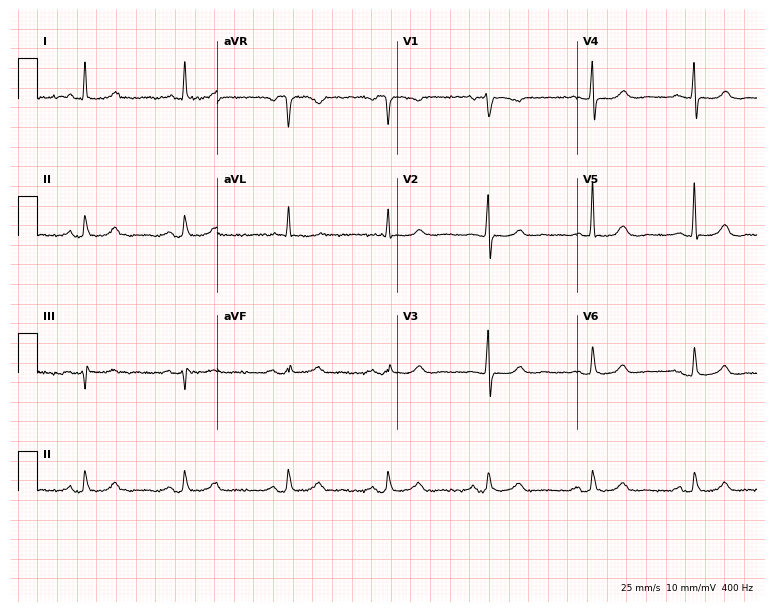
ECG — an 81-year-old woman. Screened for six findings — first-degree AV block, right bundle branch block, left bundle branch block, sinus bradycardia, atrial fibrillation, sinus tachycardia — none is recorded.